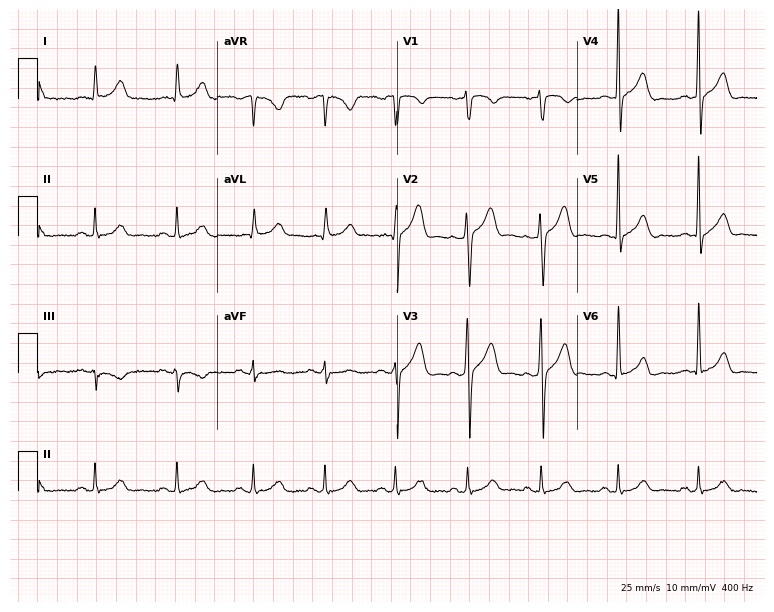
Electrocardiogram (7.3-second recording at 400 Hz), a male, 51 years old. Overall reading on record: normal ECG.